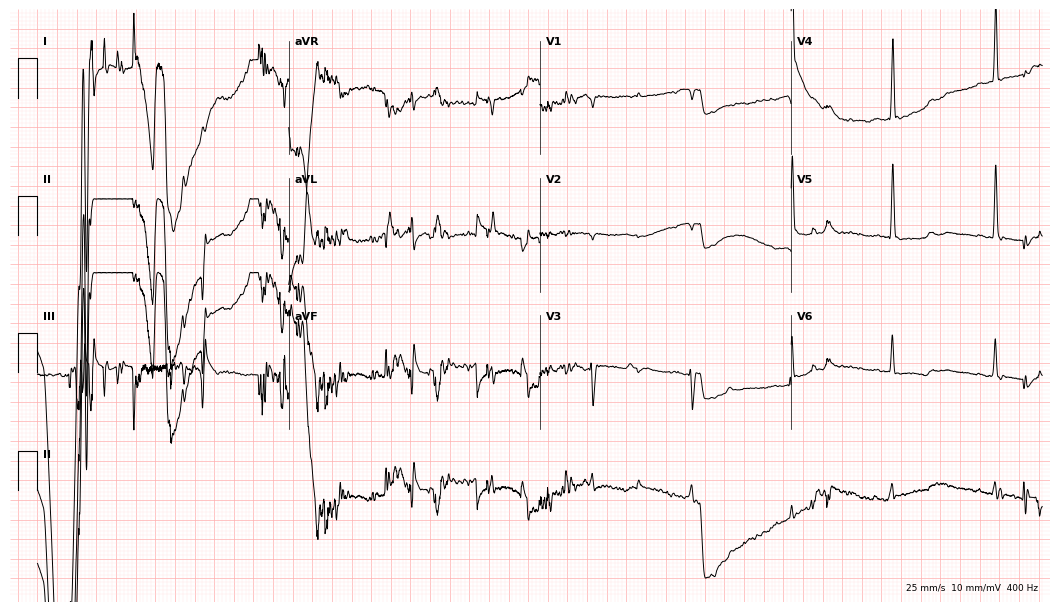
12-lead ECG (10.2-second recording at 400 Hz) from a 78-year-old female patient. Screened for six findings — first-degree AV block, right bundle branch block, left bundle branch block, sinus bradycardia, atrial fibrillation, sinus tachycardia — none is recorded.